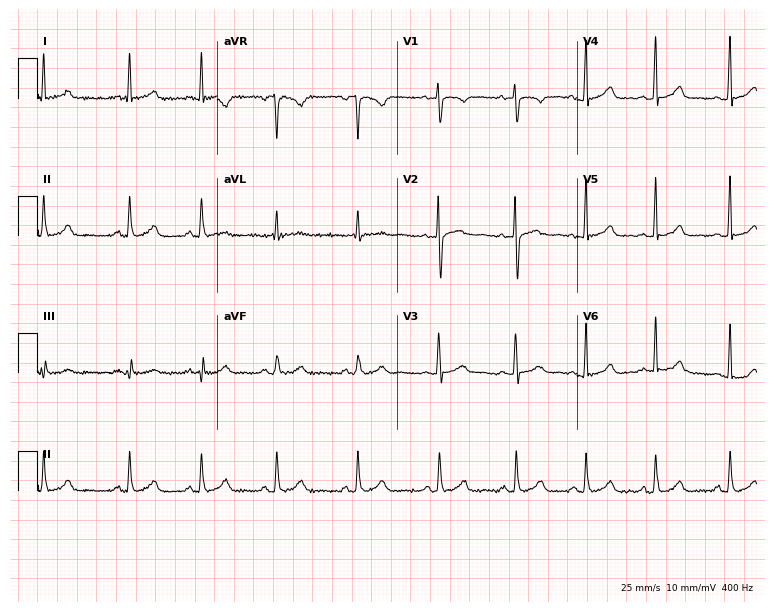
Standard 12-lead ECG recorded from a 24-year-old female (7.3-second recording at 400 Hz). Read as a normal ECG.